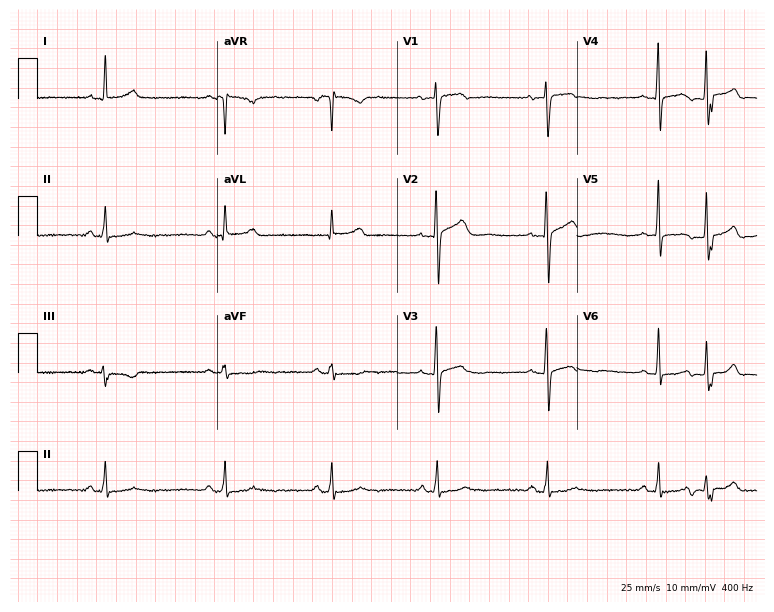
Standard 12-lead ECG recorded from a female patient, 43 years old (7.3-second recording at 400 Hz). None of these six findings is recorded: first-degree AV block, right bundle branch block, left bundle branch block, sinus bradycardia, atrial fibrillation, sinus tachycardia. Other findings, if any, are not listed.